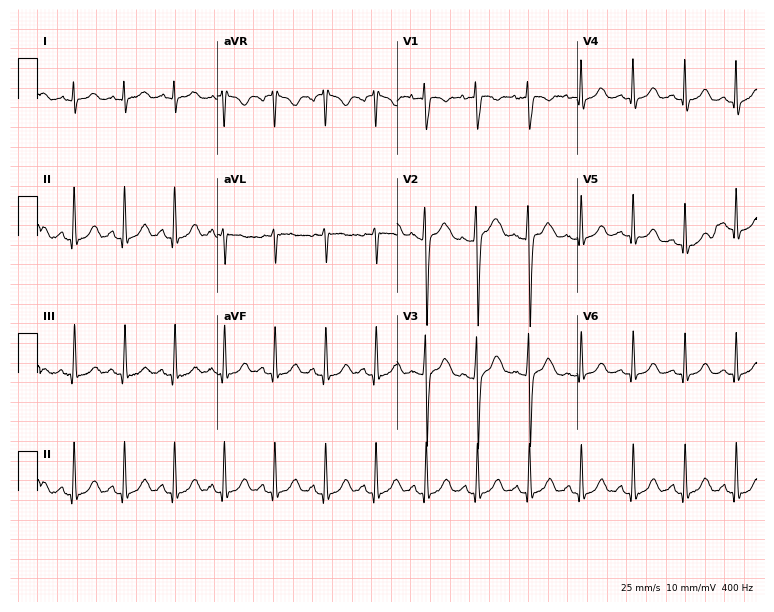
ECG (7.3-second recording at 400 Hz) — a 22-year-old woman. Findings include sinus tachycardia (a sinus rate of 100 beats per minute or more).